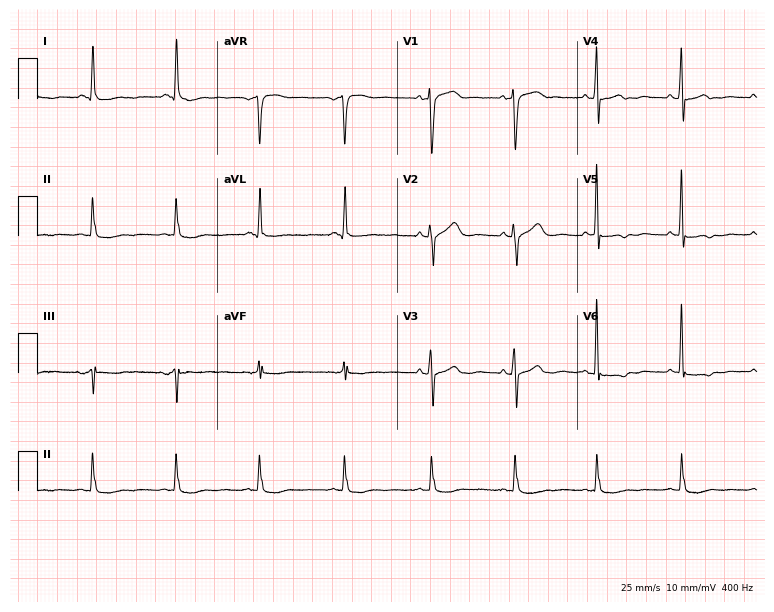
Electrocardiogram, a 59-year-old woman. Overall reading on record: normal ECG.